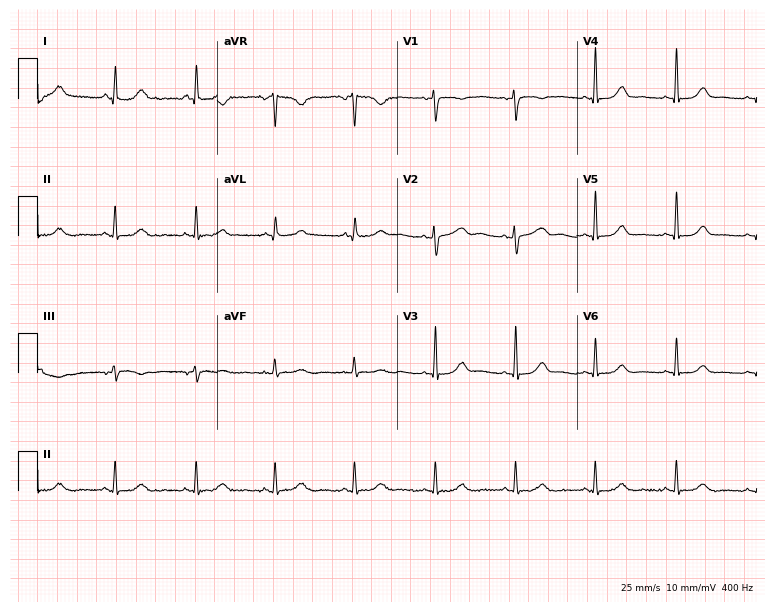
ECG (7.3-second recording at 400 Hz) — a 55-year-old female patient. Labelled as a normal ECG.